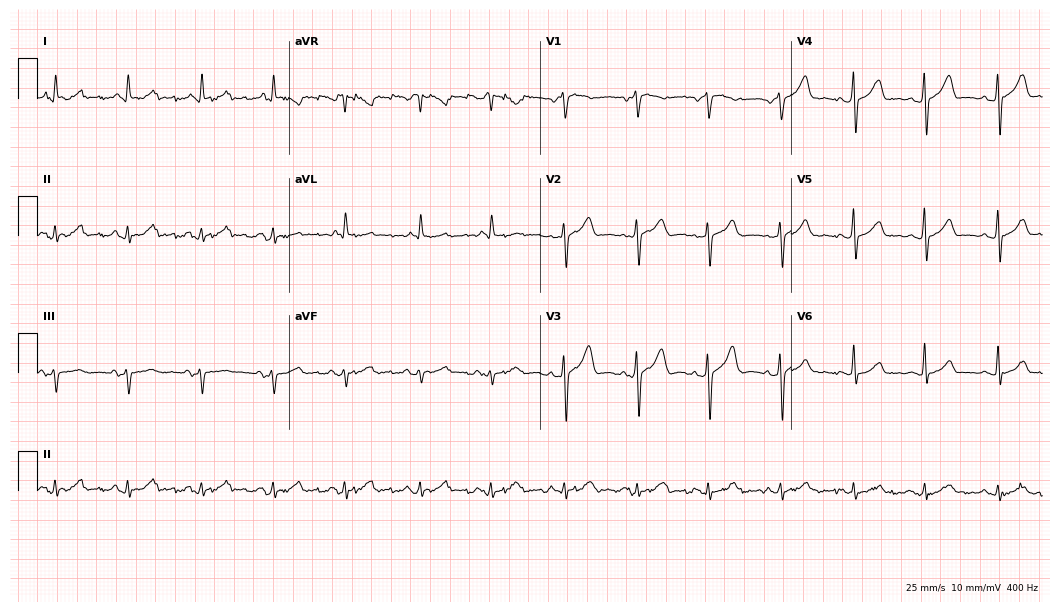
12-lead ECG from a man, 81 years old. Labelled as a normal ECG.